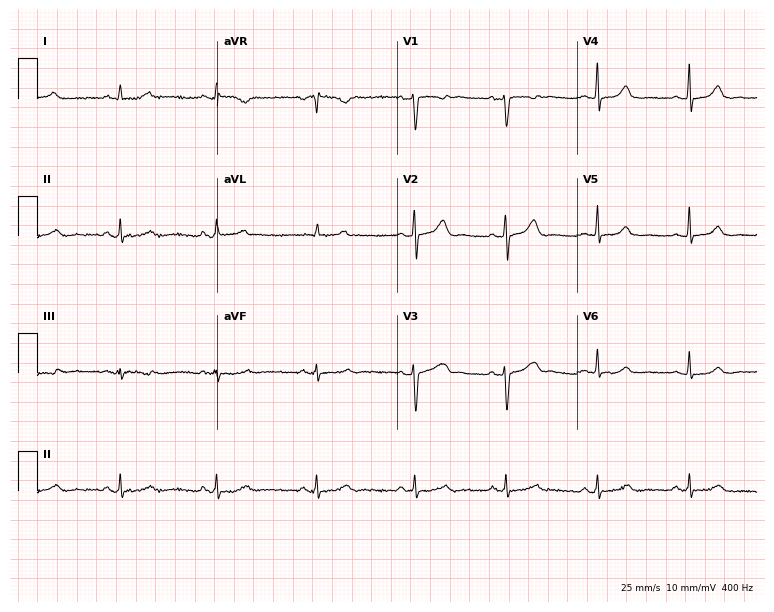
12-lead ECG (7.3-second recording at 400 Hz) from a 46-year-old female patient. Labelled as a normal ECG.